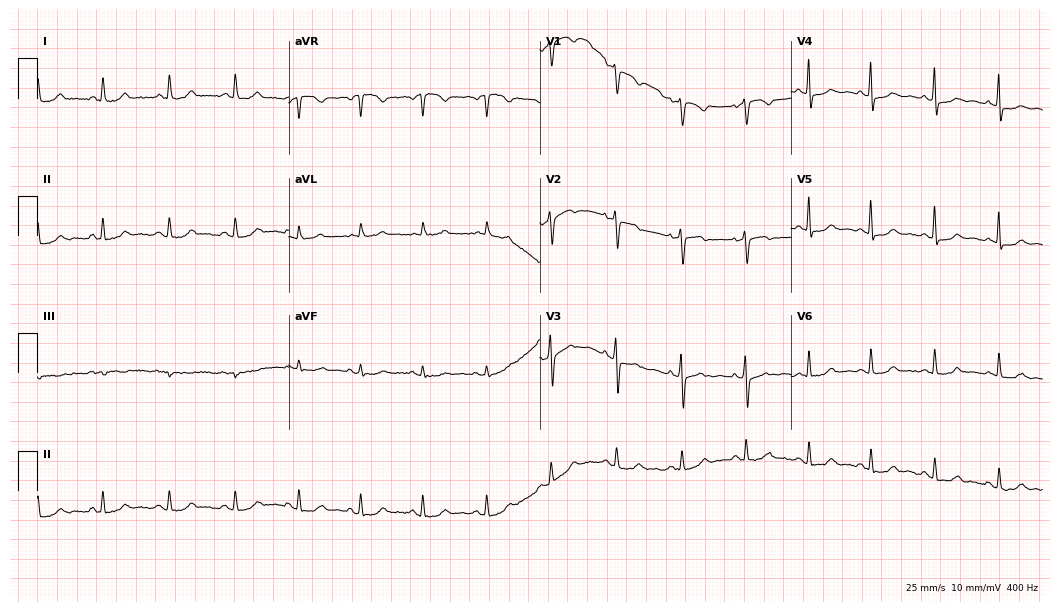
12-lead ECG (10.2-second recording at 400 Hz) from a female patient, 58 years old. Labelled as a normal ECG.